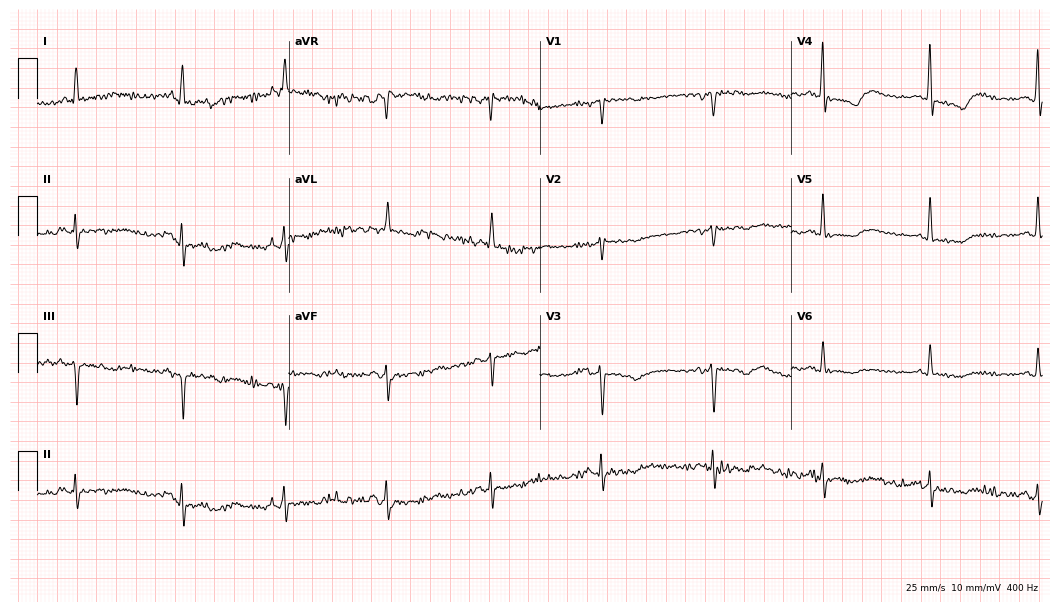
Electrocardiogram, a 69-year-old woman. Of the six screened findings (first-degree AV block, right bundle branch block (RBBB), left bundle branch block (LBBB), sinus bradycardia, atrial fibrillation (AF), sinus tachycardia), none is recorded. Other findings, if any, are not listed.